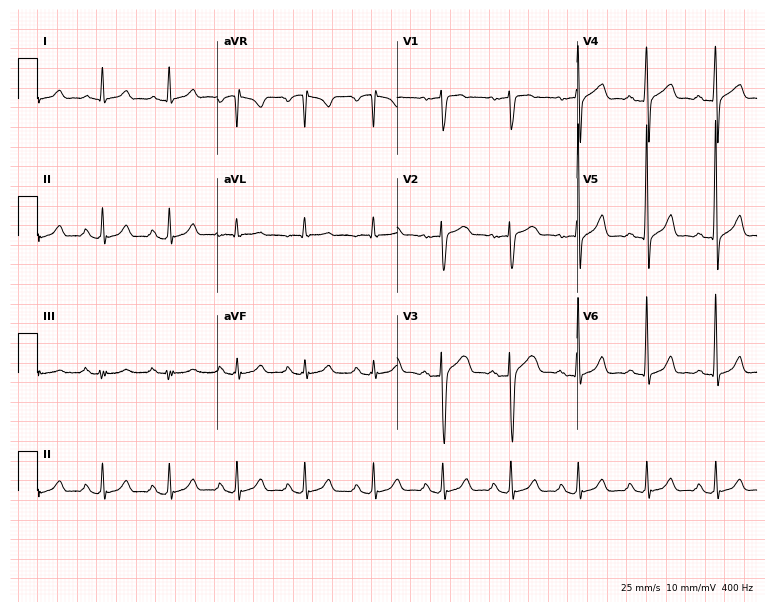
Electrocardiogram (7.3-second recording at 400 Hz), a 65-year-old male. Of the six screened findings (first-degree AV block, right bundle branch block (RBBB), left bundle branch block (LBBB), sinus bradycardia, atrial fibrillation (AF), sinus tachycardia), none is recorded. Only these six findings were labelled.